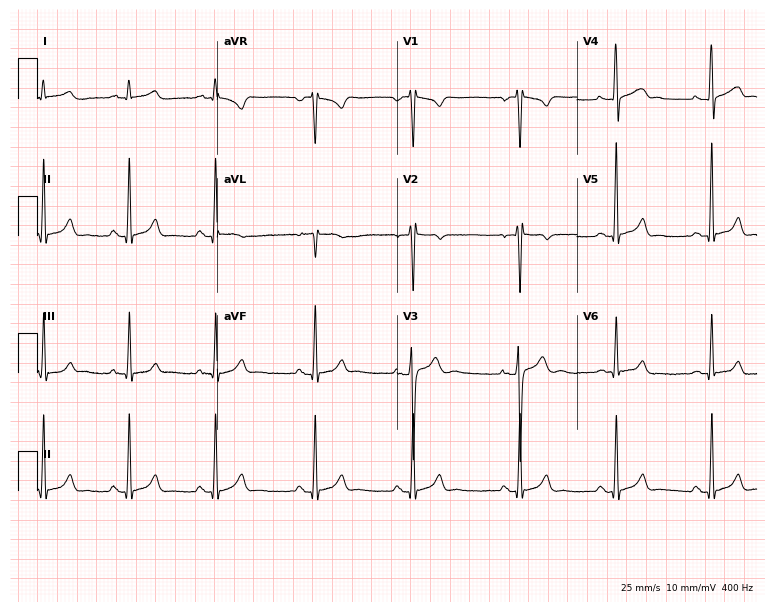
Electrocardiogram, a male patient, 17 years old. Overall reading on record: normal ECG.